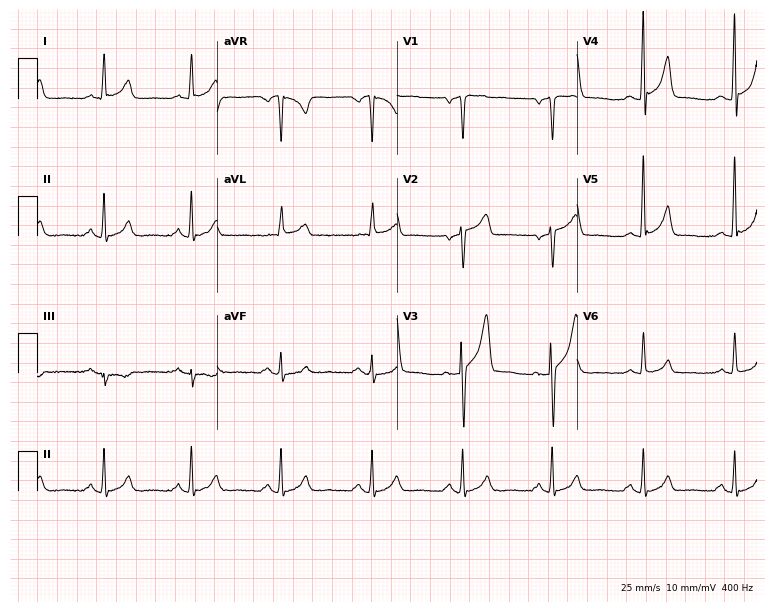
Standard 12-lead ECG recorded from a 64-year-old male patient. Read as a normal ECG.